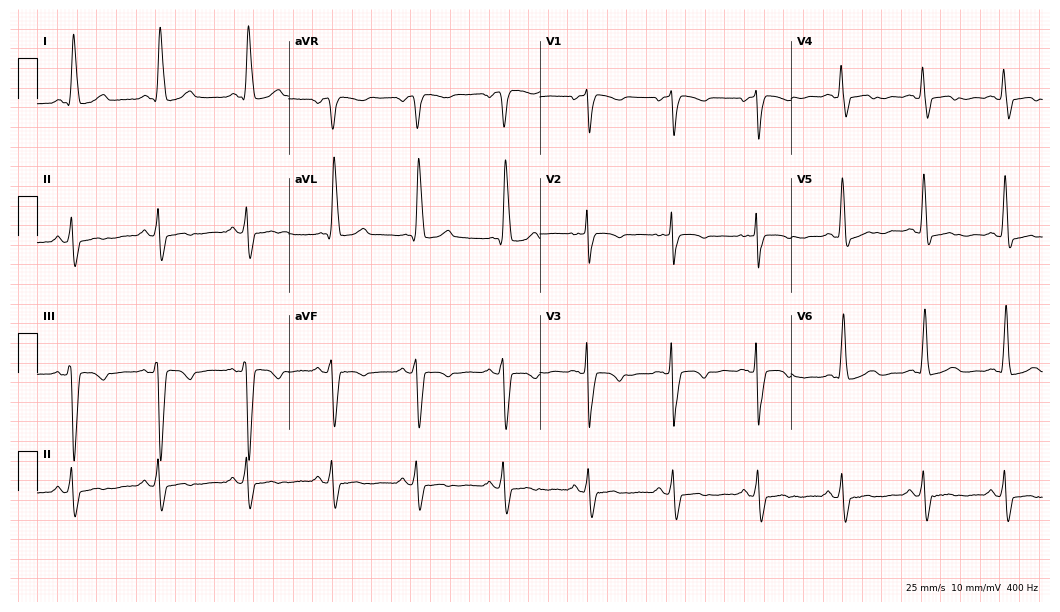
ECG (10.2-second recording at 400 Hz) — a woman, 69 years old. Findings include left bundle branch block.